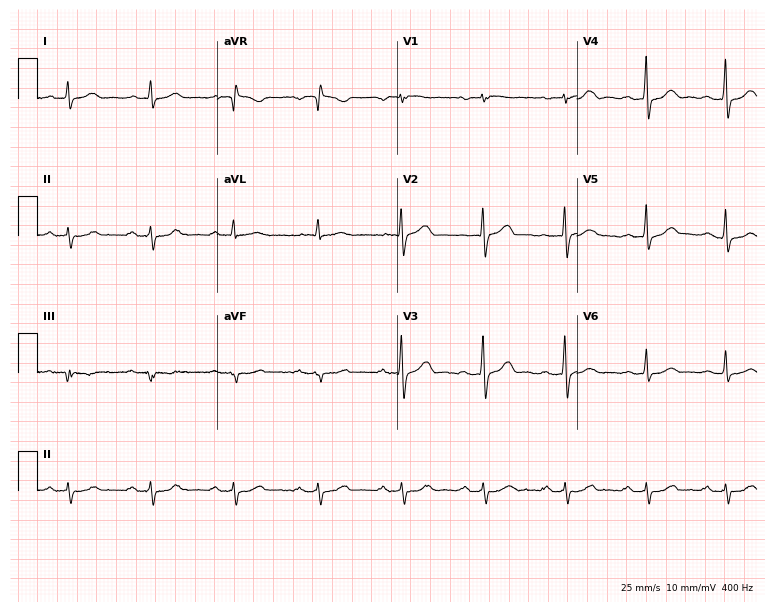
12-lead ECG from a 58-year-old female patient (7.3-second recording at 400 Hz). Shows first-degree AV block.